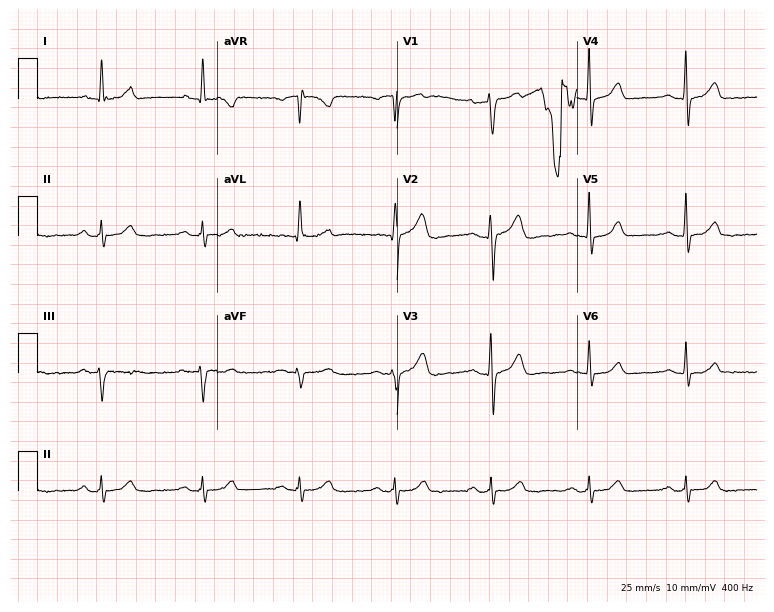
ECG — a male patient, 61 years old. Labelled as a normal ECG.